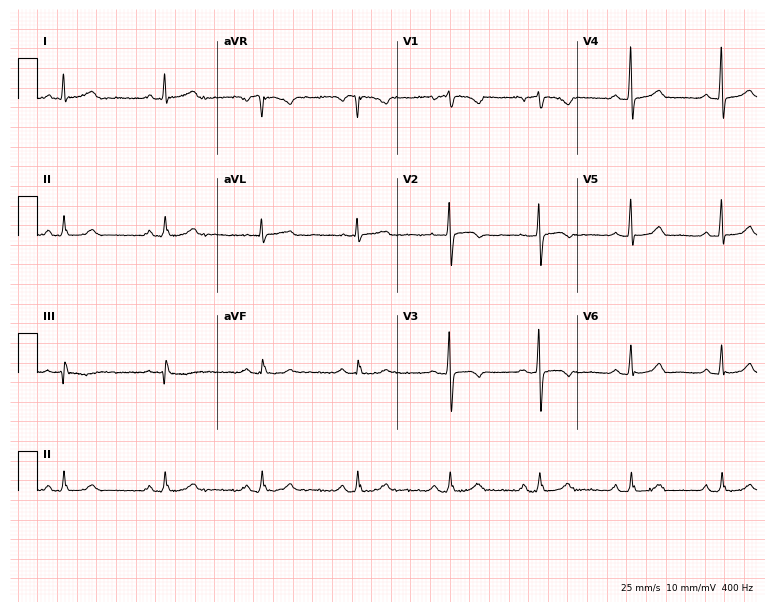
Resting 12-lead electrocardiogram (7.3-second recording at 400 Hz). Patient: a 65-year-old female. None of these six findings is recorded: first-degree AV block, right bundle branch block, left bundle branch block, sinus bradycardia, atrial fibrillation, sinus tachycardia.